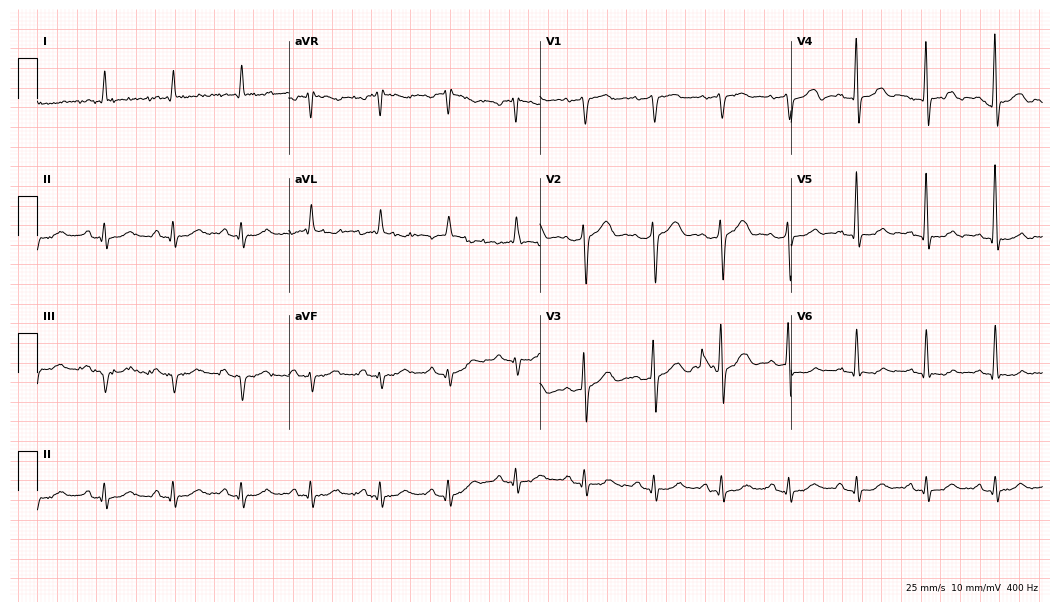
12-lead ECG (10.2-second recording at 400 Hz) from a man, 83 years old. Screened for six findings — first-degree AV block, right bundle branch block, left bundle branch block, sinus bradycardia, atrial fibrillation, sinus tachycardia — none is recorded. Findings outside these six are not listed.